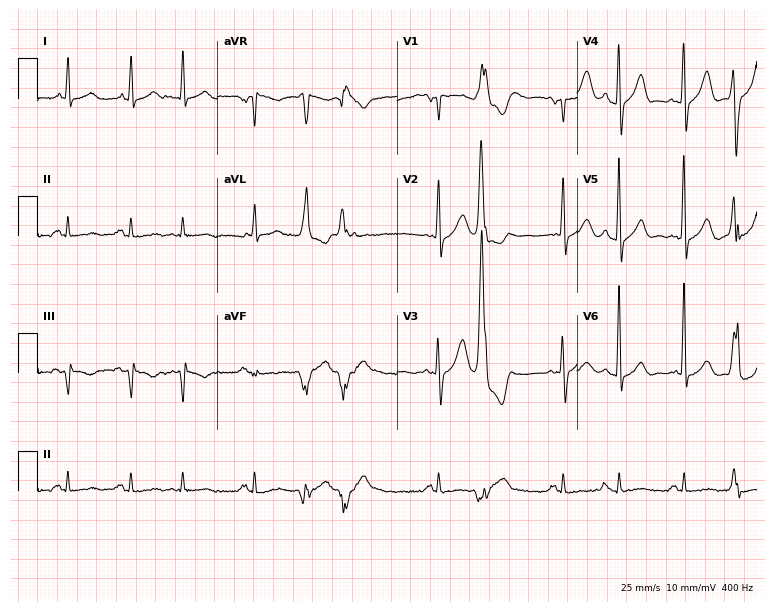
Standard 12-lead ECG recorded from a 68-year-old male (7.3-second recording at 400 Hz). None of these six findings is recorded: first-degree AV block, right bundle branch block (RBBB), left bundle branch block (LBBB), sinus bradycardia, atrial fibrillation (AF), sinus tachycardia. Other findings, if any, are not listed.